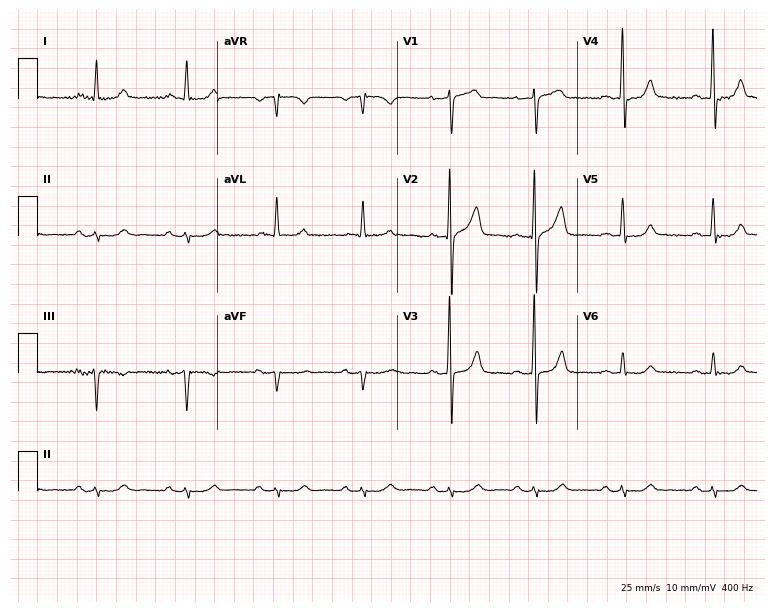
12-lead ECG from a 61-year-old male. Screened for six findings — first-degree AV block, right bundle branch block, left bundle branch block, sinus bradycardia, atrial fibrillation, sinus tachycardia — none is recorded. Other findings, if any, are not listed.